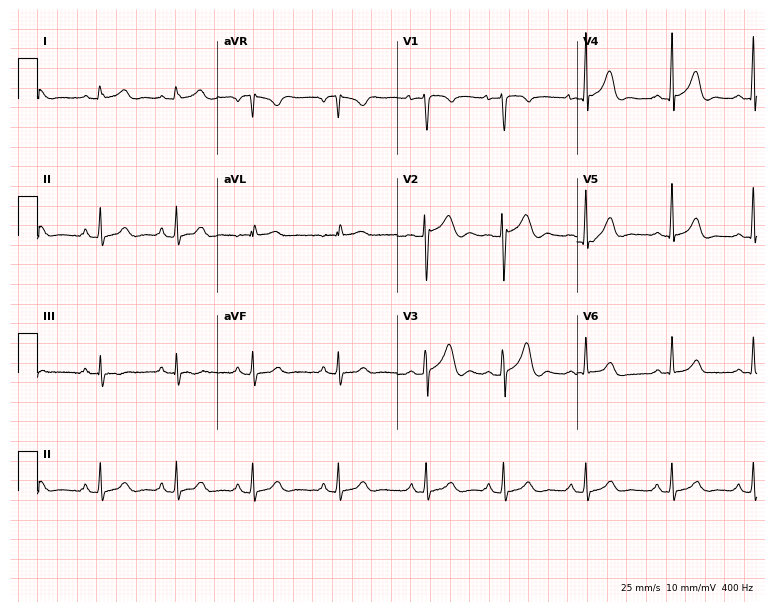
Electrocardiogram, a female, 21 years old. Overall reading on record: normal ECG.